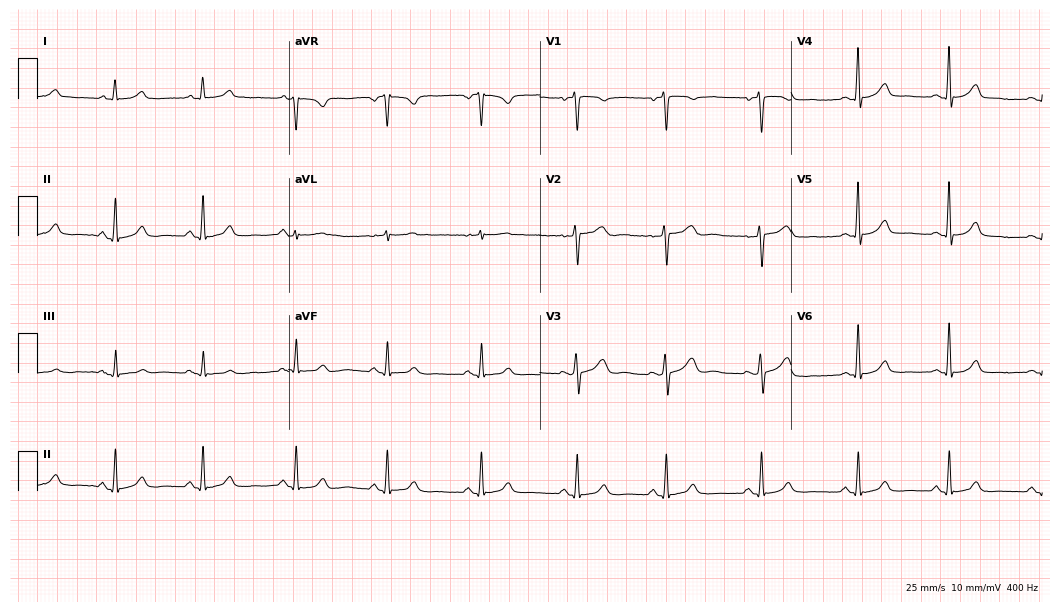
Standard 12-lead ECG recorded from a female patient, 41 years old (10.2-second recording at 400 Hz). Read as a normal ECG.